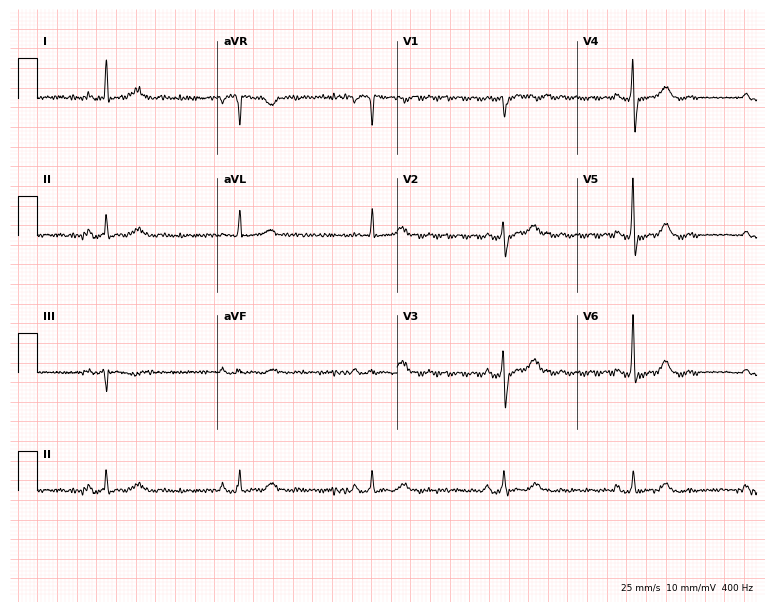
Electrocardiogram (7.3-second recording at 400 Hz), a female patient, 72 years old. Interpretation includes sinus bradycardia (a sinus rate of 50 beats per minute or less).